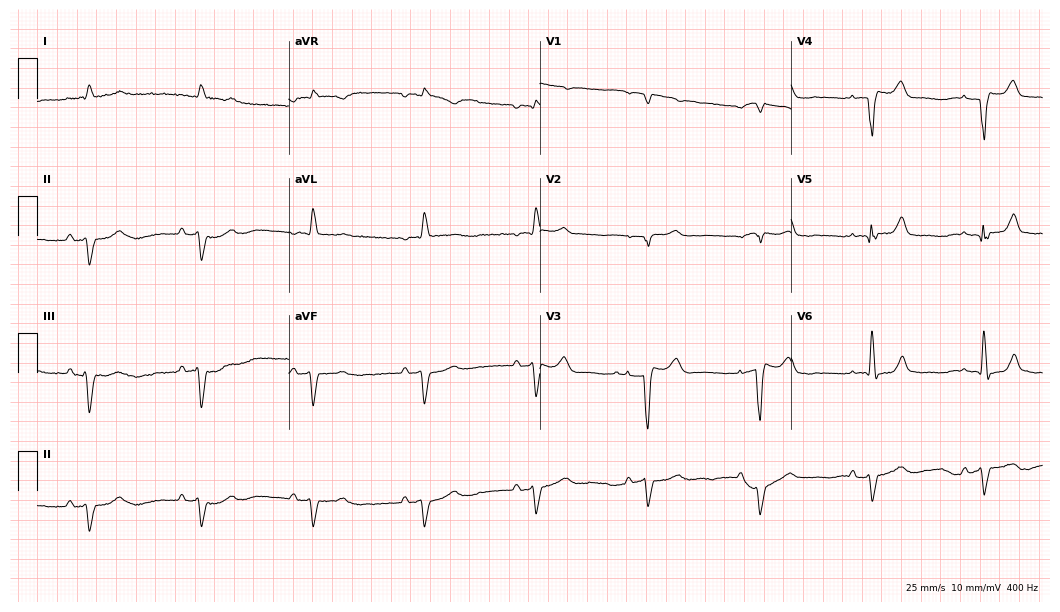
Electrocardiogram, a male patient, 69 years old. Of the six screened findings (first-degree AV block, right bundle branch block, left bundle branch block, sinus bradycardia, atrial fibrillation, sinus tachycardia), none is recorded. Findings outside these six are not listed.